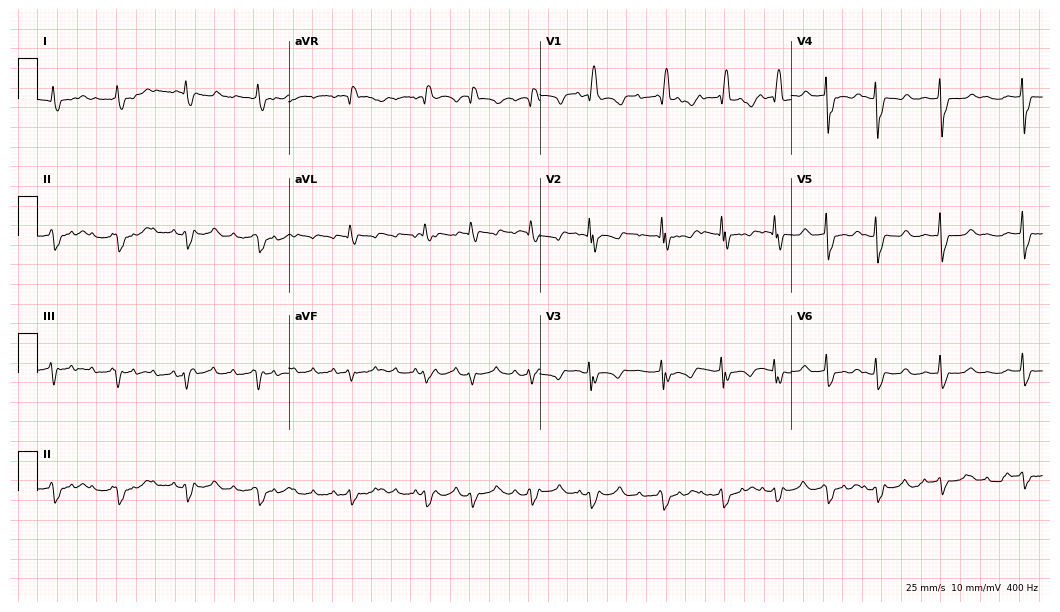
Electrocardiogram (10.2-second recording at 400 Hz), a 79-year-old woman. Interpretation includes right bundle branch block (RBBB).